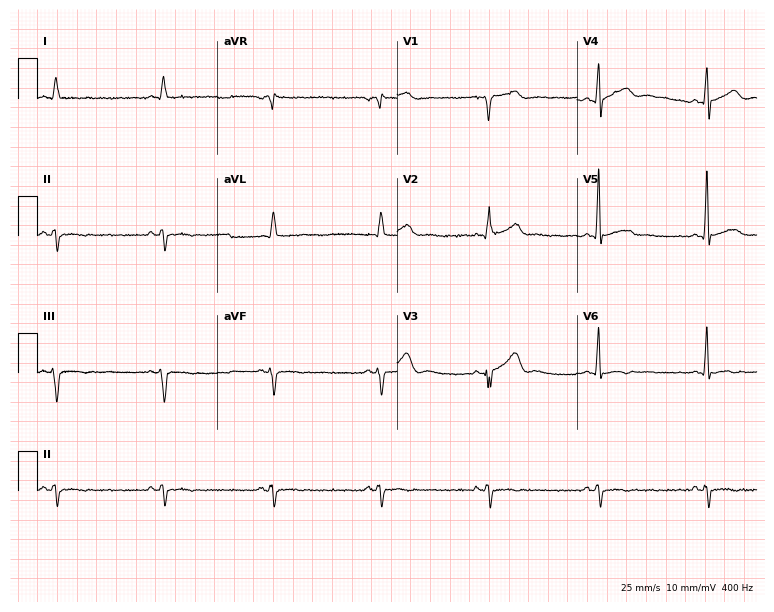
12-lead ECG (7.3-second recording at 400 Hz) from a man, 70 years old. Screened for six findings — first-degree AV block, right bundle branch block, left bundle branch block, sinus bradycardia, atrial fibrillation, sinus tachycardia — none is recorded. Findings outside these six are not listed.